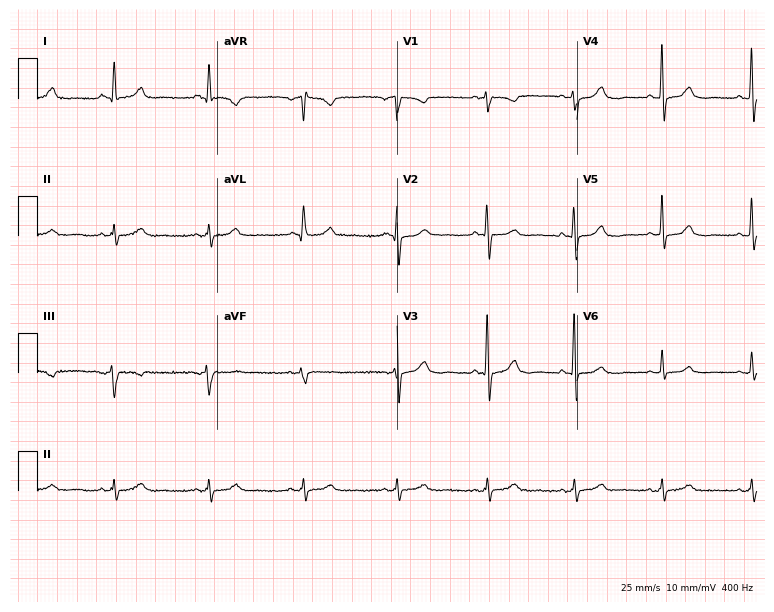
12-lead ECG from a female patient, 76 years old. No first-degree AV block, right bundle branch block, left bundle branch block, sinus bradycardia, atrial fibrillation or sinus tachycardia recorded for this tracing. Other findings, if any, are not listed.